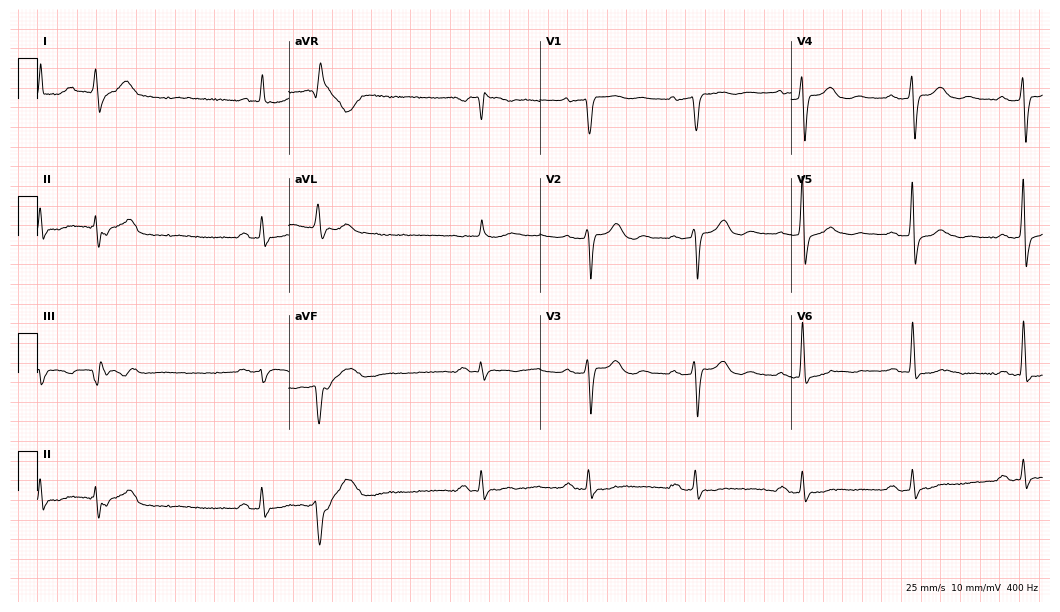
Standard 12-lead ECG recorded from a male patient, 79 years old (10.2-second recording at 400 Hz). The tracing shows first-degree AV block.